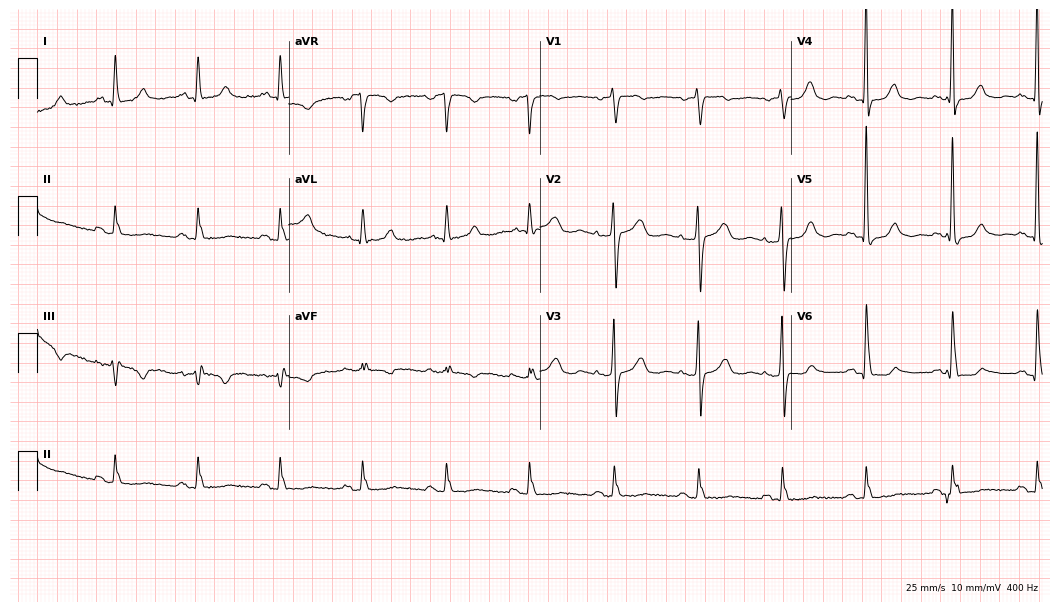
Standard 12-lead ECG recorded from an 84-year-old female. Read as a normal ECG.